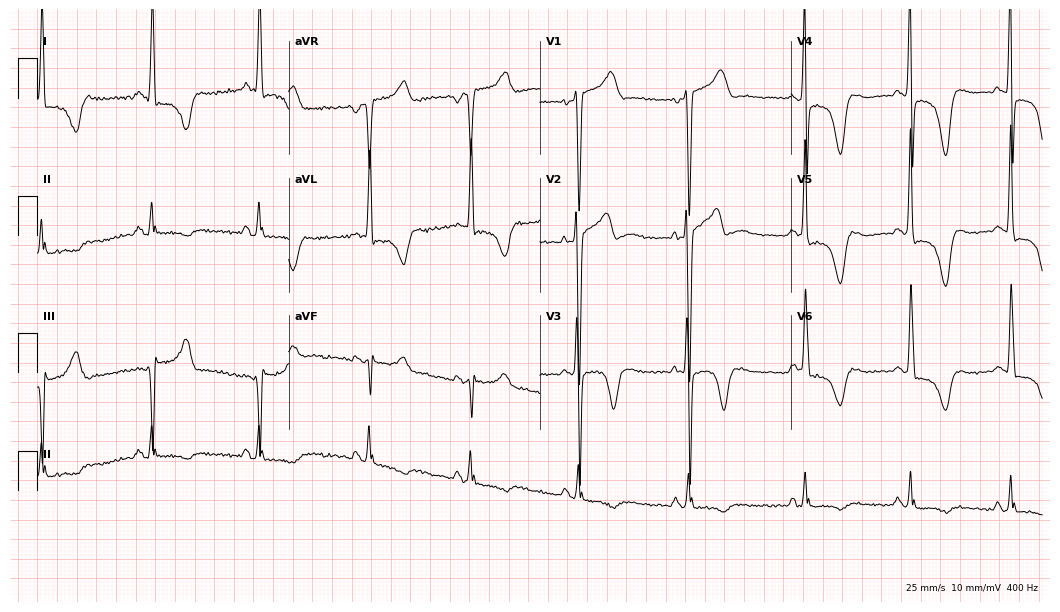
Standard 12-lead ECG recorded from a 41-year-old male patient (10.2-second recording at 400 Hz). None of these six findings is recorded: first-degree AV block, right bundle branch block, left bundle branch block, sinus bradycardia, atrial fibrillation, sinus tachycardia.